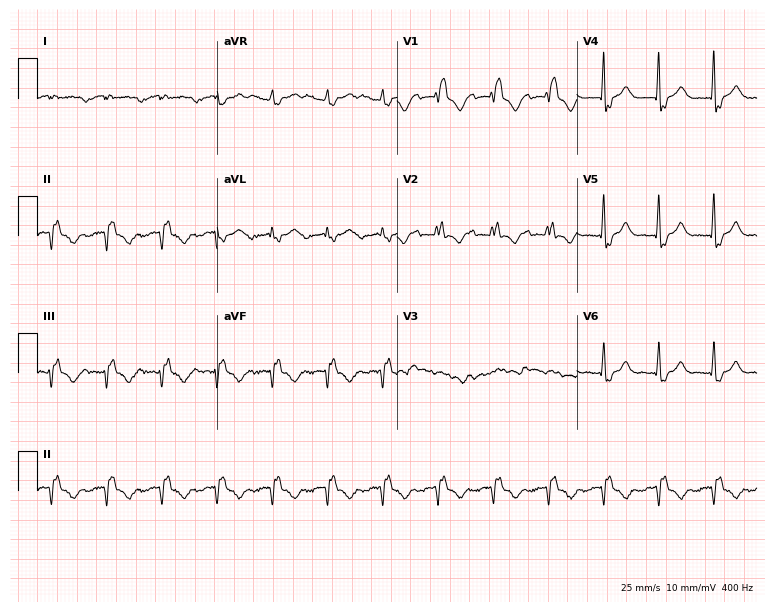
ECG — a 41-year-old female. Screened for six findings — first-degree AV block, right bundle branch block, left bundle branch block, sinus bradycardia, atrial fibrillation, sinus tachycardia — none is recorded.